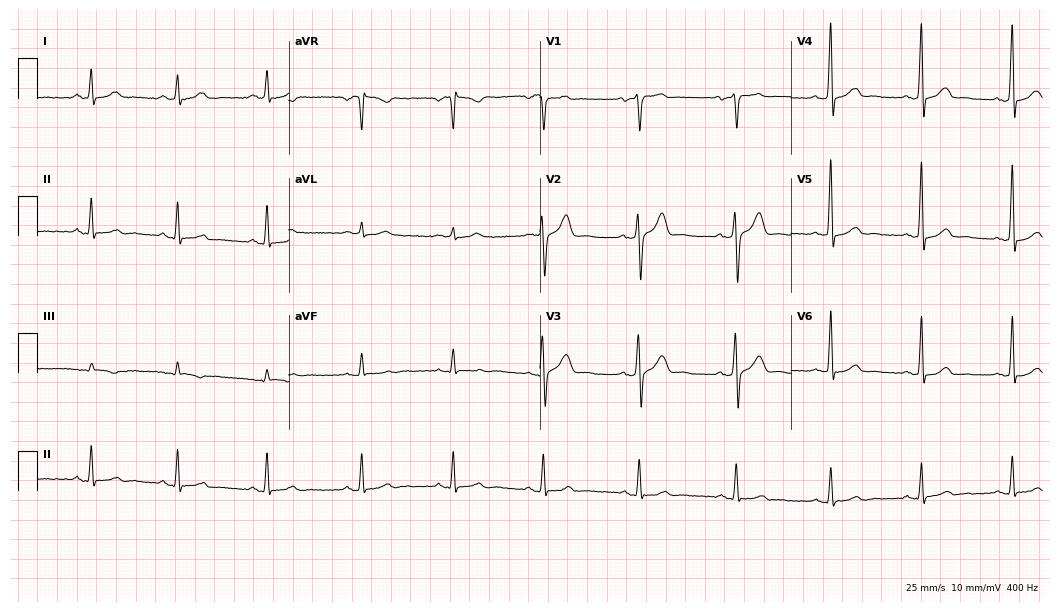
ECG — a woman, 43 years old. Labelled as a normal ECG.